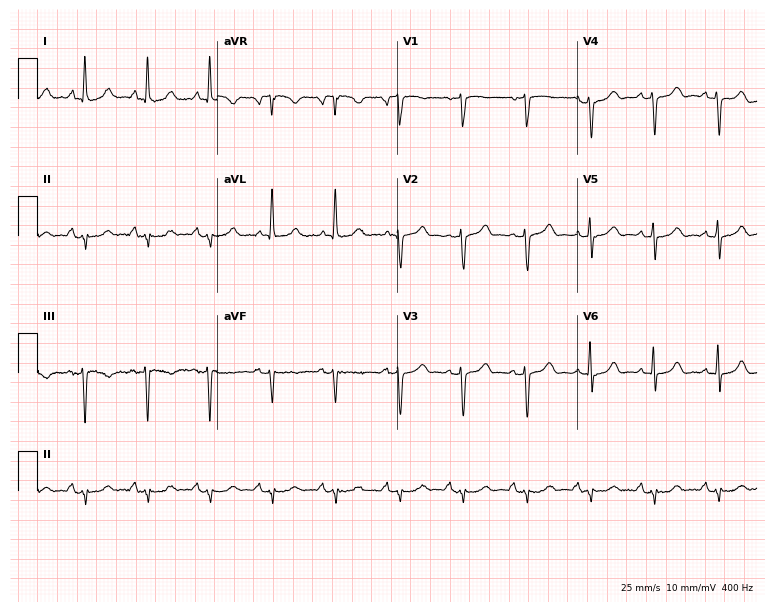
Electrocardiogram, an 85-year-old woman. Of the six screened findings (first-degree AV block, right bundle branch block, left bundle branch block, sinus bradycardia, atrial fibrillation, sinus tachycardia), none is recorded.